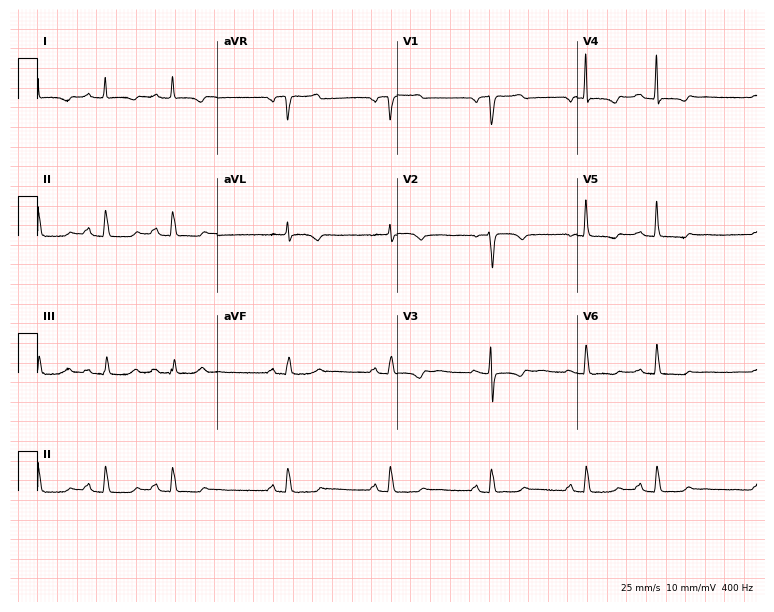
Electrocardiogram (7.3-second recording at 400 Hz), a 63-year-old female. Of the six screened findings (first-degree AV block, right bundle branch block, left bundle branch block, sinus bradycardia, atrial fibrillation, sinus tachycardia), none is recorded. Only these six findings were labelled.